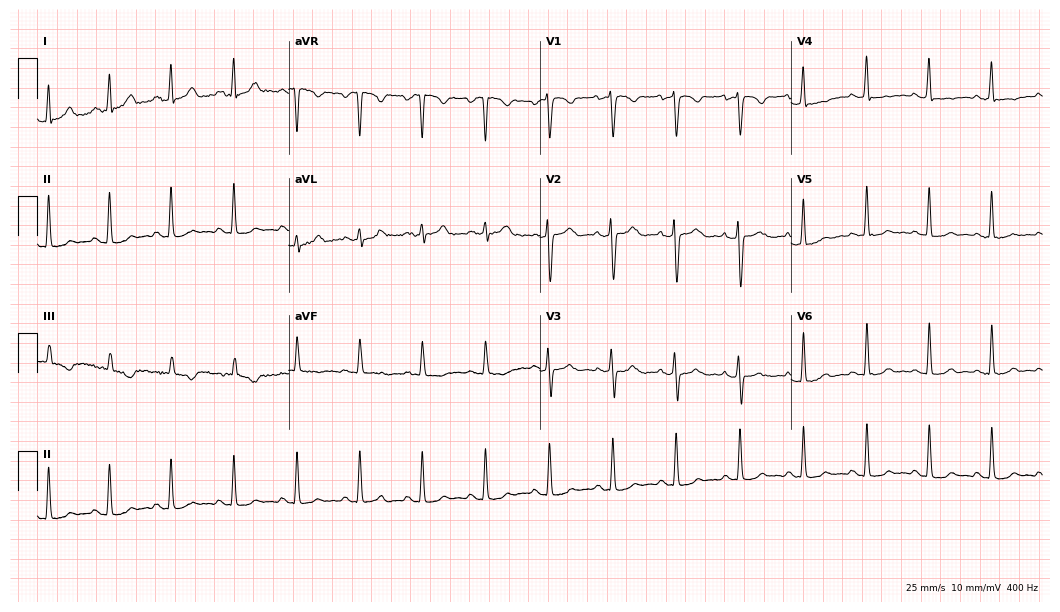
12-lead ECG from a 23-year-old female patient. Labelled as a normal ECG.